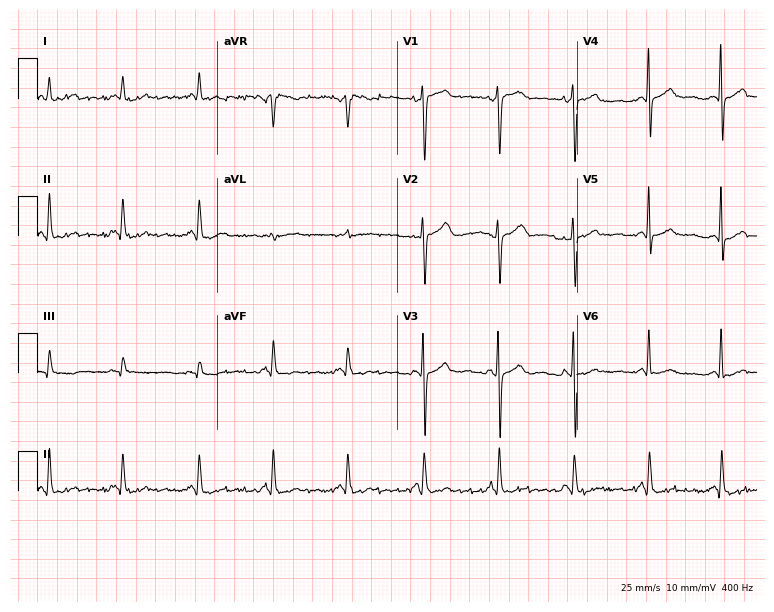
Resting 12-lead electrocardiogram (7.3-second recording at 400 Hz). Patient: a 50-year-old woman. Read as a normal ECG.